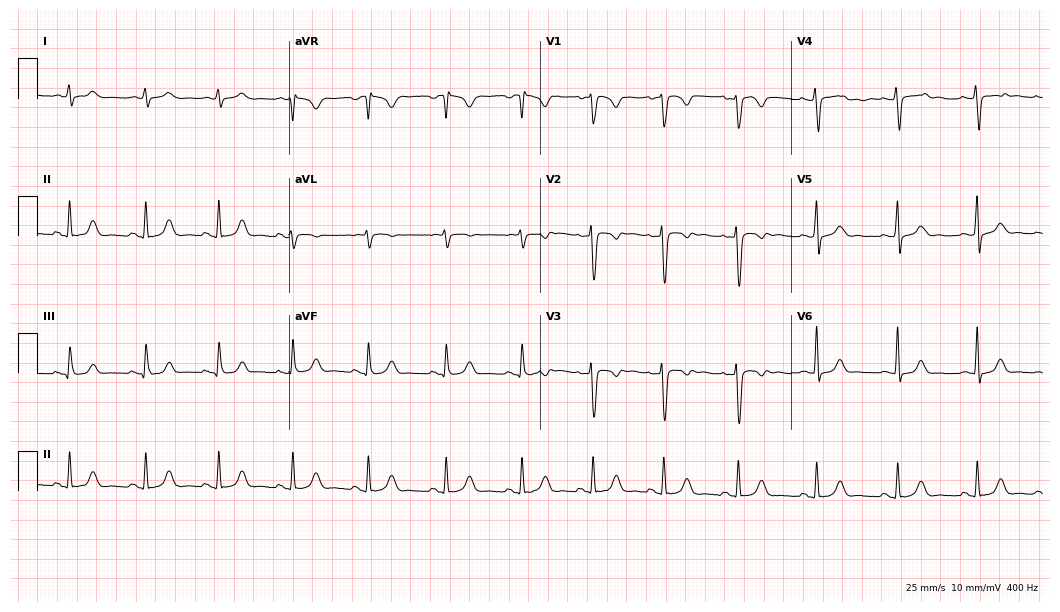
12-lead ECG (10.2-second recording at 400 Hz) from a female patient, 34 years old. Labelled as a normal ECG.